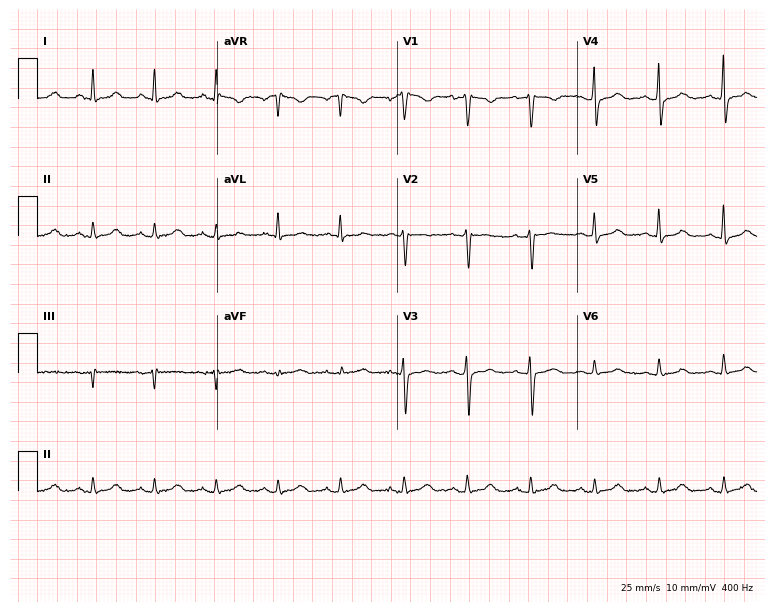
Resting 12-lead electrocardiogram (7.3-second recording at 400 Hz). Patient: a female, 69 years old. None of these six findings is recorded: first-degree AV block, right bundle branch block (RBBB), left bundle branch block (LBBB), sinus bradycardia, atrial fibrillation (AF), sinus tachycardia.